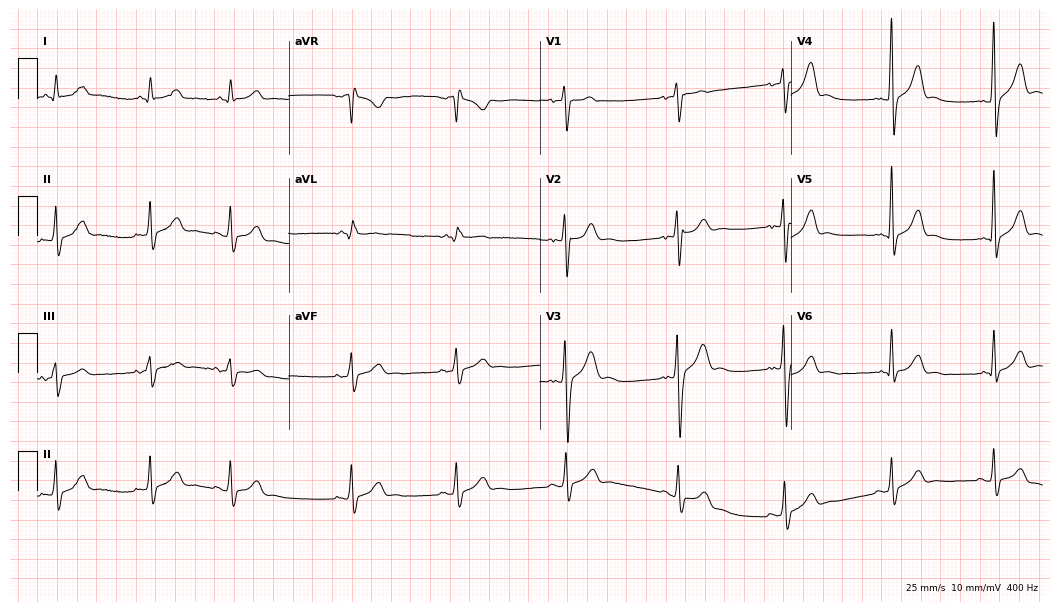
Electrocardiogram, a male, 18 years old. Of the six screened findings (first-degree AV block, right bundle branch block, left bundle branch block, sinus bradycardia, atrial fibrillation, sinus tachycardia), none is recorded.